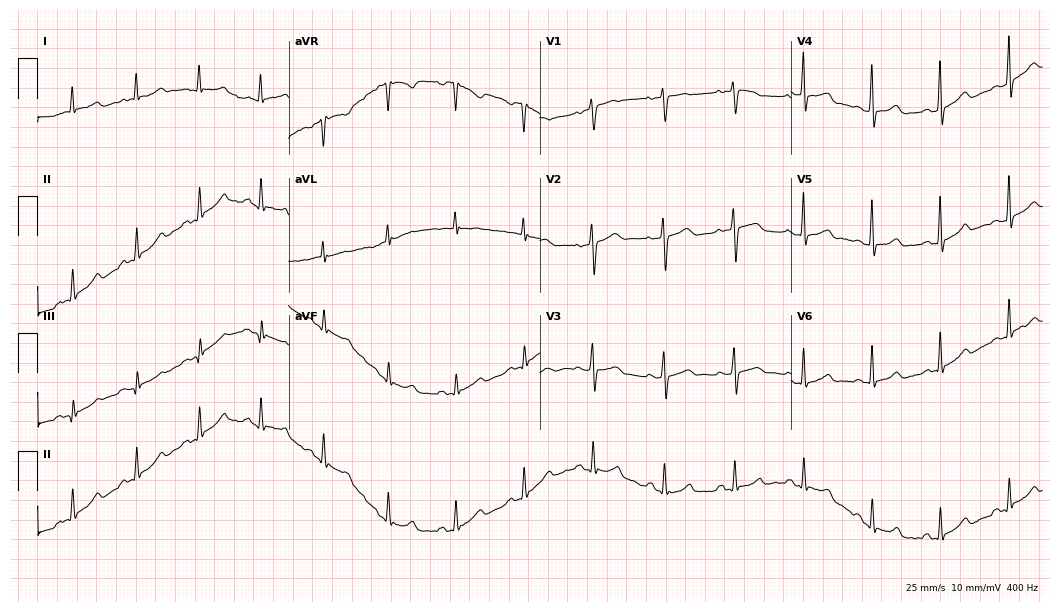
Electrocardiogram, a female patient, 50 years old. Overall reading on record: normal ECG.